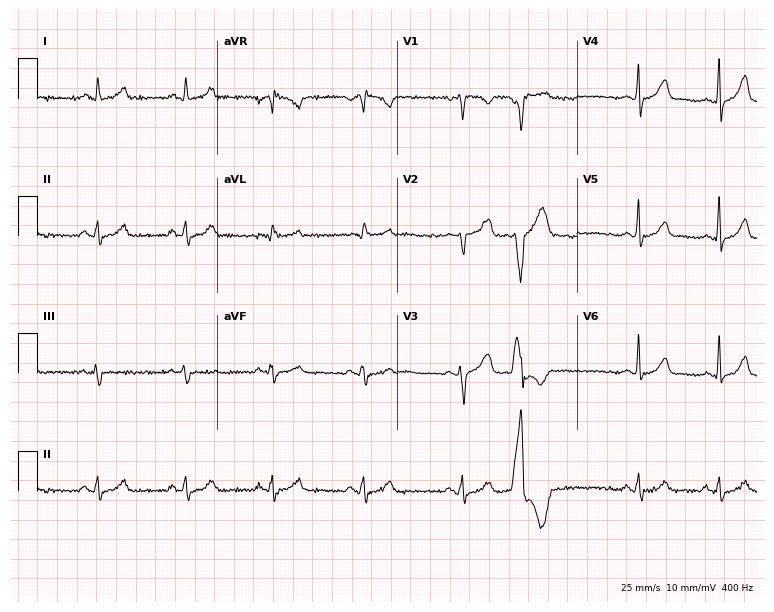
12-lead ECG (7.3-second recording at 400 Hz) from a female patient, 36 years old. Screened for six findings — first-degree AV block, right bundle branch block, left bundle branch block, sinus bradycardia, atrial fibrillation, sinus tachycardia — none is recorded.